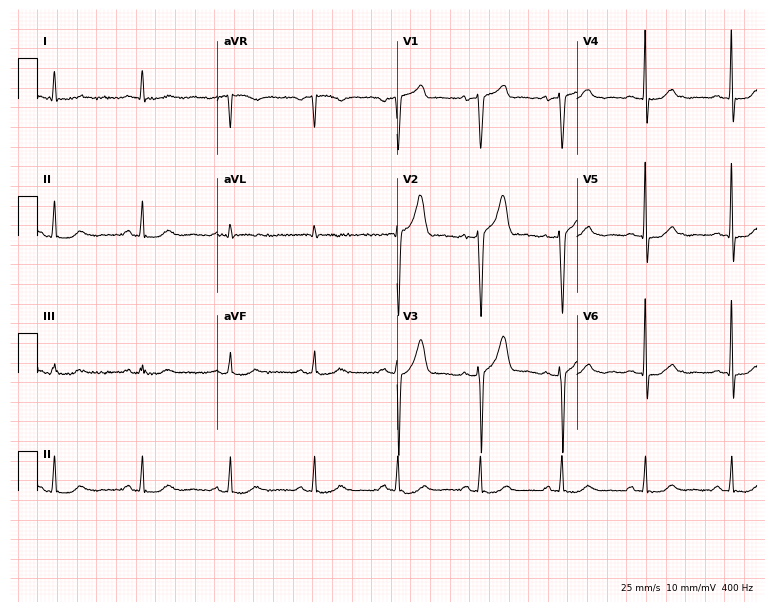
Resting 12-lead electrocardiogram. Patient: a male, 60 years old. Read as a normal ECG.